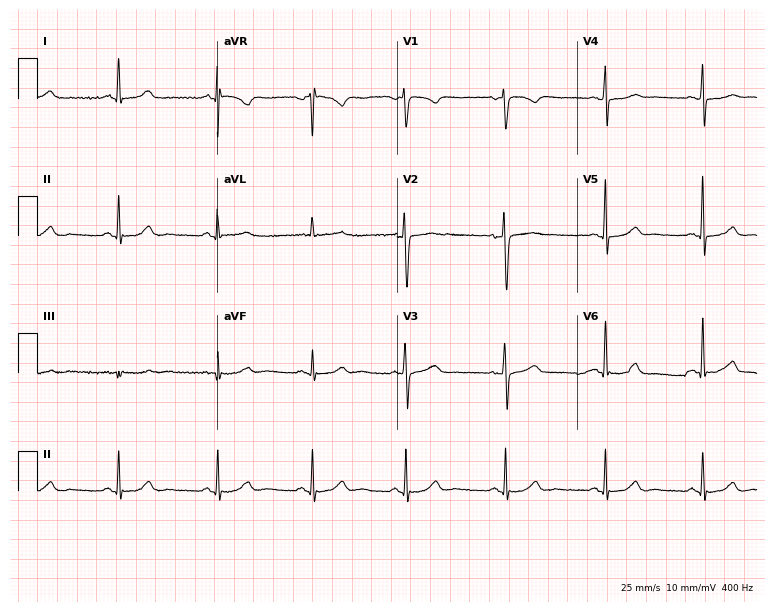
Resting 12-lead electrocardiogram (7.3-second recording at 400 Hz). Patient: a 42-year-old female. Read as a normal ECG.